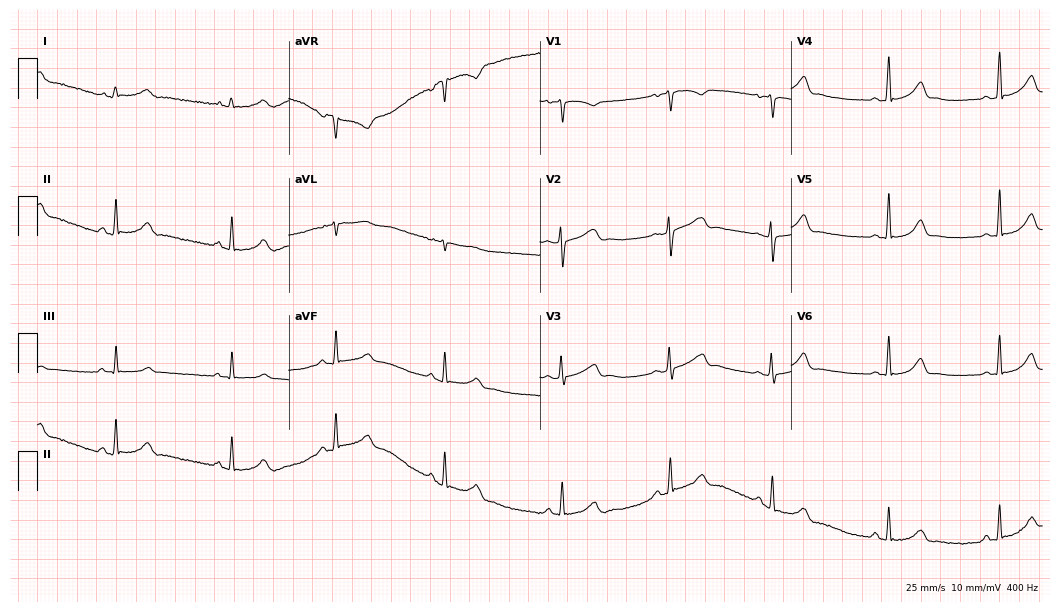
Standard 12-lead ECG recorded from a female, 29 years old (10.2-second recording at 400 Hz). Read as a normal ECG.